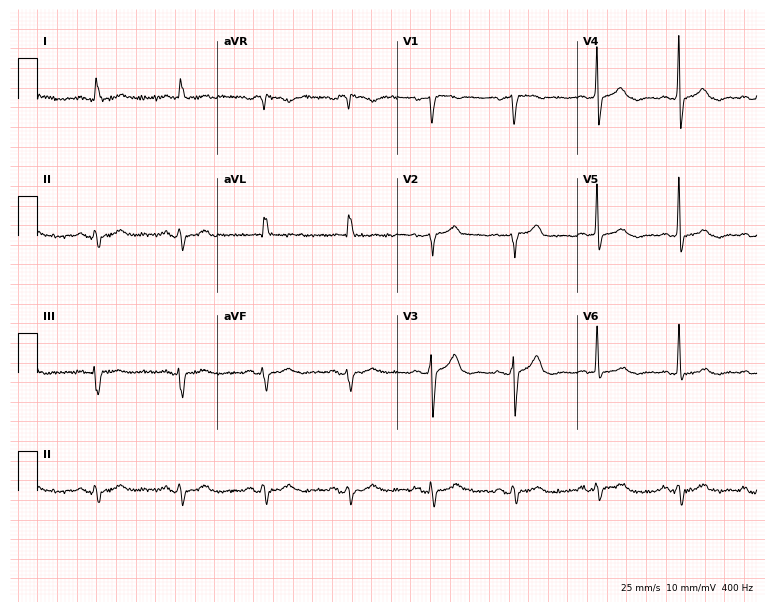
Resting 12-lead electrocardiogram (7.3-second recording at 400 Hz). Patient: a 77-year-old woman. None of these six findings is recorded: first-degree AV block, right bundle branch block (RBBB), left bundle branch block (LBBB), sinus bradycardia, atrial fibrillation (AF), sinus tachycardia. Findings outside these six are not listed.